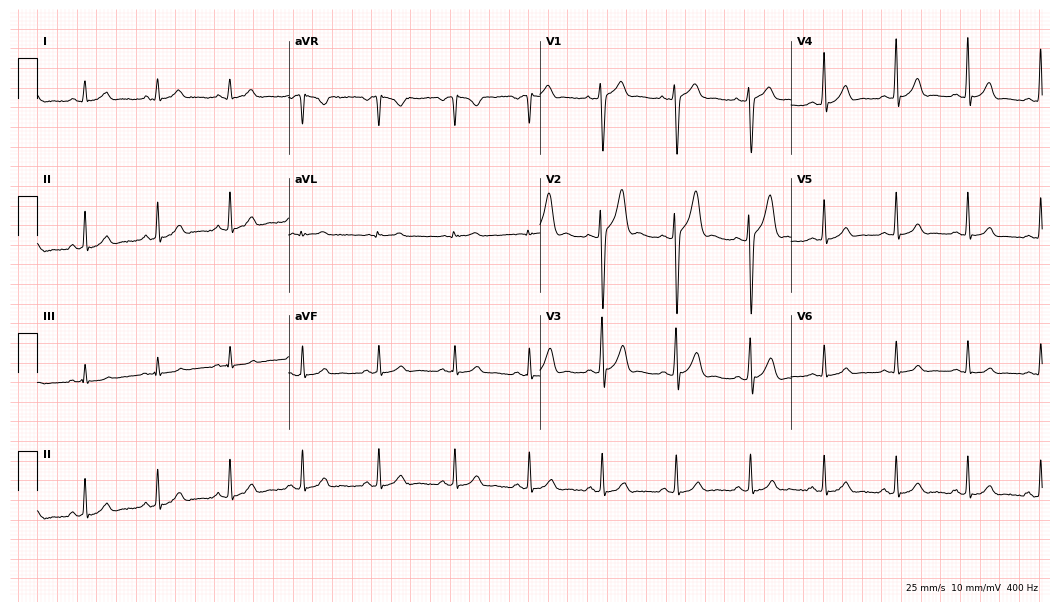
Standard 12-lead ECG recorded from a male, 21 years old (10.2-second recording at 400 Hz). Read as a normal ECG.